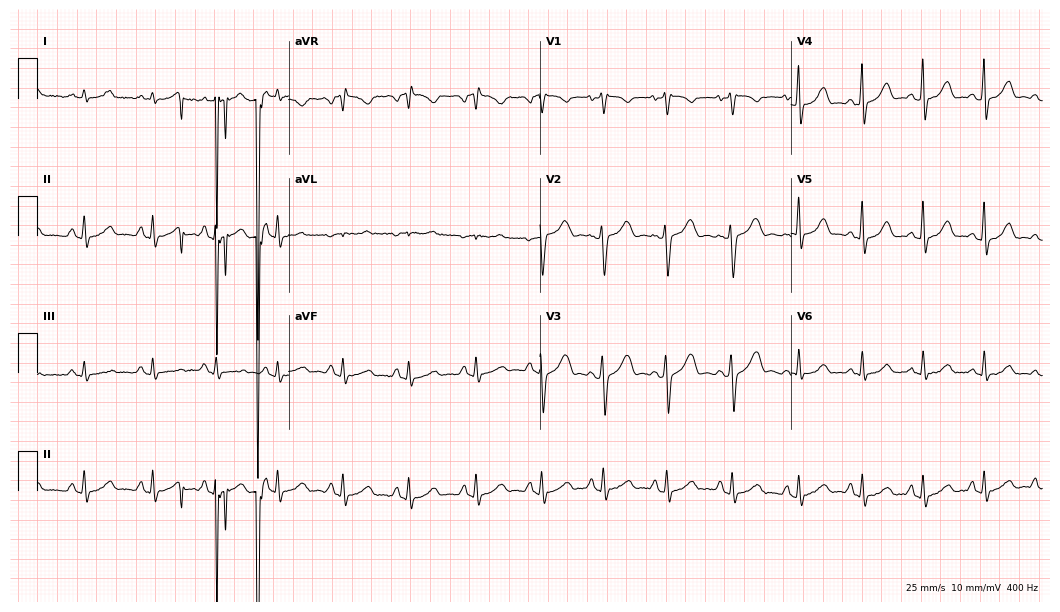
Resting 12-lead electrocardiogram. Patient: a 34-year-old female. None of these six findings is recorded: first-degree AV block, right bundle branch block (RBBB), left bundle branch block (LBBB), sinus bradycardia, atrial fibrillation (AF), sinus tachycardia.